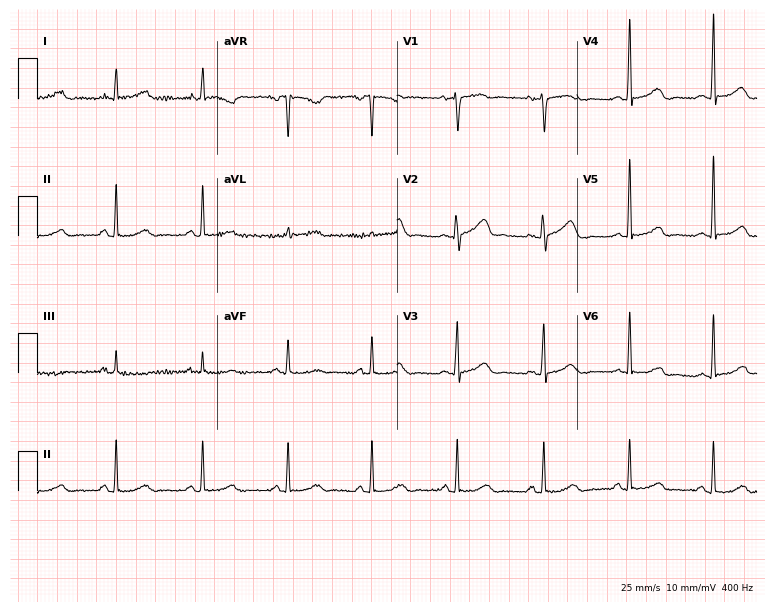
12-lead ECG (7.3-second recording at 400 Hz) from a female patient, 50 years old. Screened for six findings — first-degree AV block, right bundle branch block, left bundle branch block, sinus bradycardia, atrial fibrillation, sinus tachycardia — none is recorded. Other findings, if any, are not listed.